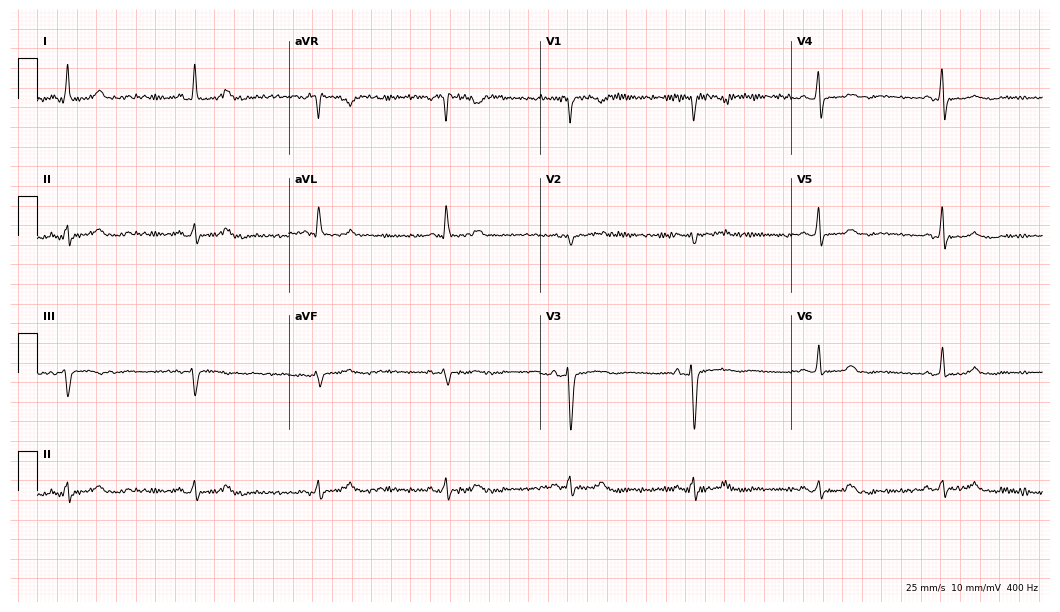
Electrocardiogram (10.2-second recording at 400 Hz), a female, 57 years old. Interpretation includes sinus bradycardia (a sinus rate of 50 beats per minute or less).